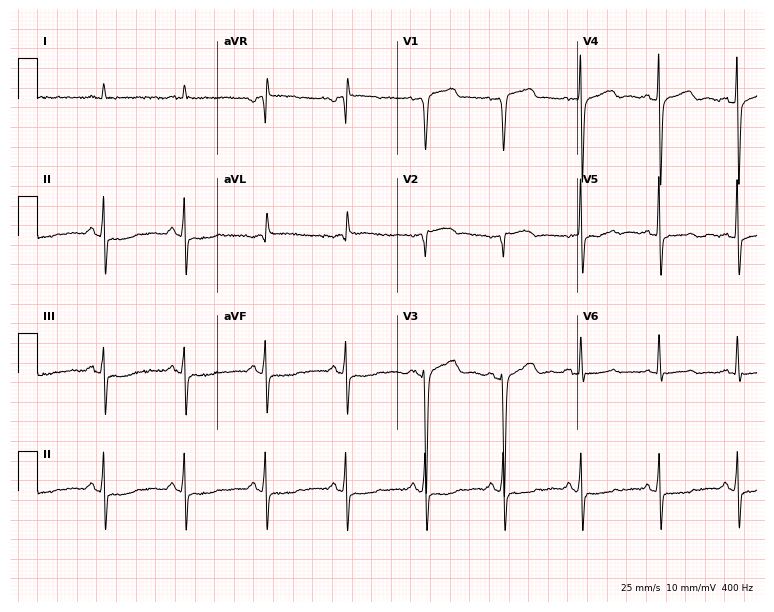
Resting 12-lead electrocardiogram (7.3-second recording at 400 Hz). Patient: a 69-year-old male. None of these six findings is recorded: first-degree AV block, right bundle branch block, left bundle branch block, sinus bradycardia, atrial fibrillation, sinus tachycardia.